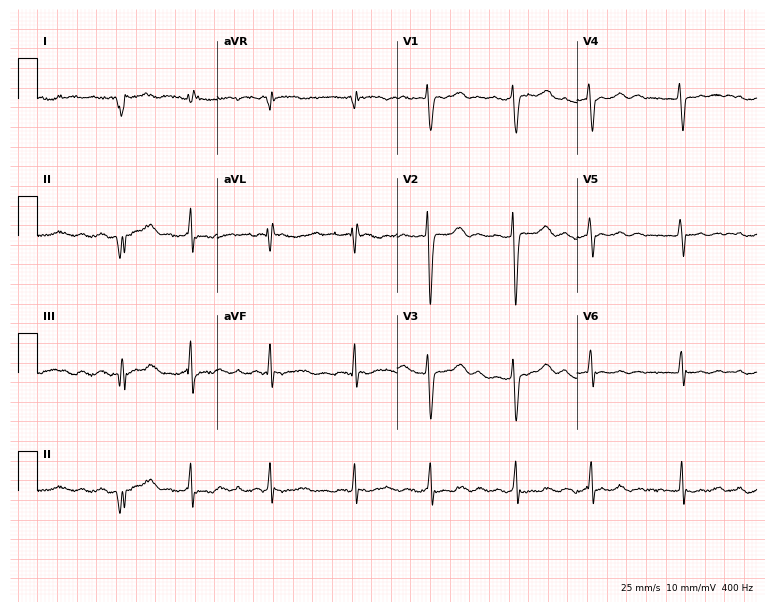
ECG (7.3-second recording at 400 Hz) — a 43-year-old woman. Findings include atrial fibrillation.